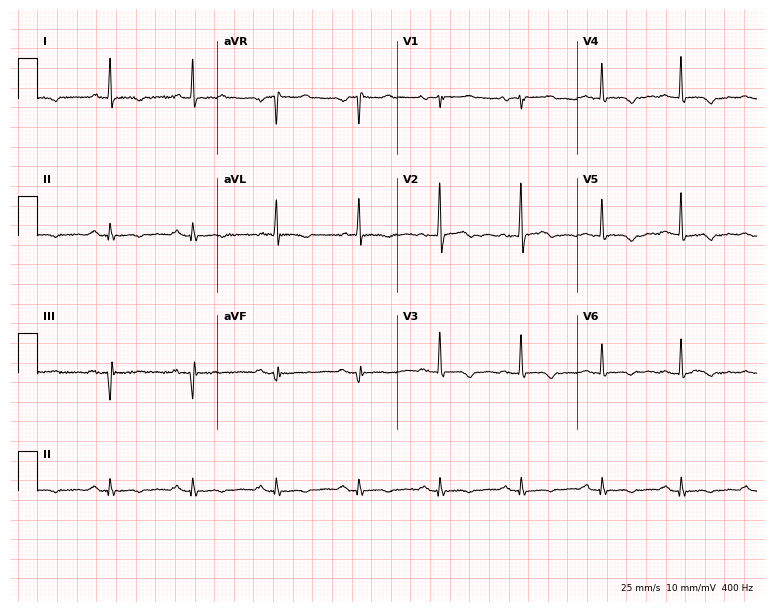
Resting 12-lead electrocardiogram (7.3-second recording at 400 Hz). Patient: a 61-year-old woman. None of these six findings is recorded: first-degree AV block, right bundle branch block (RBBB), left bundle branch block (LBBB), sinus bradycardia, atrial fibrillation (AF), sinus tachycardia.